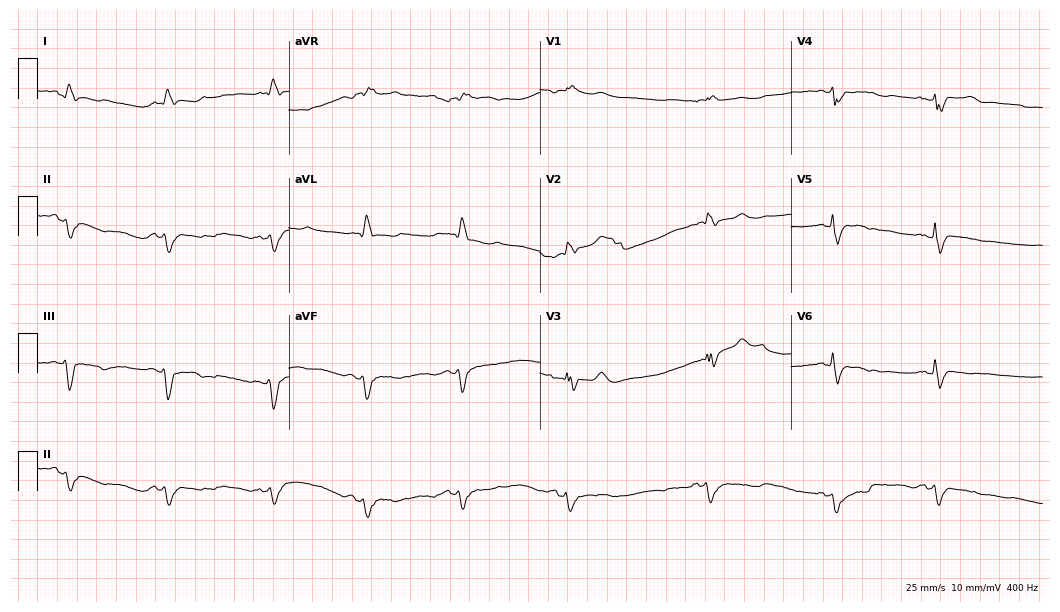
Standard 12-lead ECG recorded from a woman, 65 years old. The tracing shows right bundle branch block (RBBB), sinus bradycardia (a sinus rate of 50 beats per minute or less).